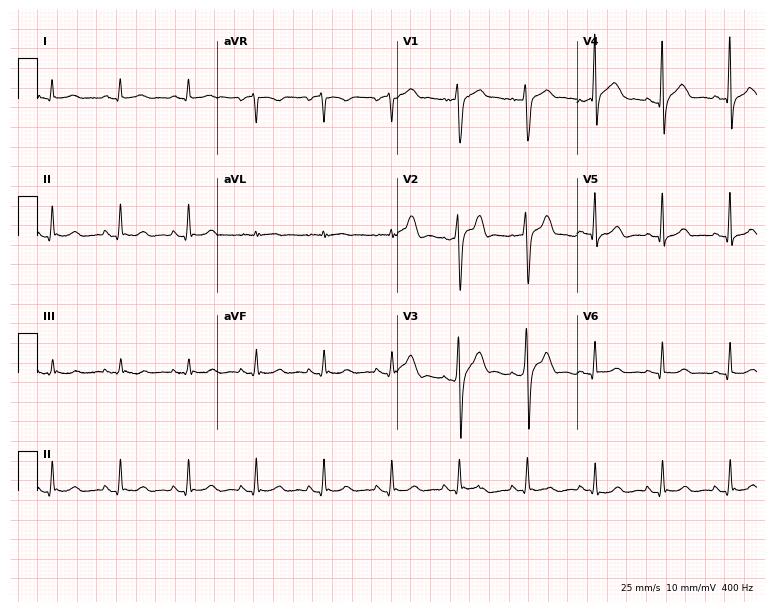
12-lead ECG from a 51-year-old male. Labelled as a normal ECG.